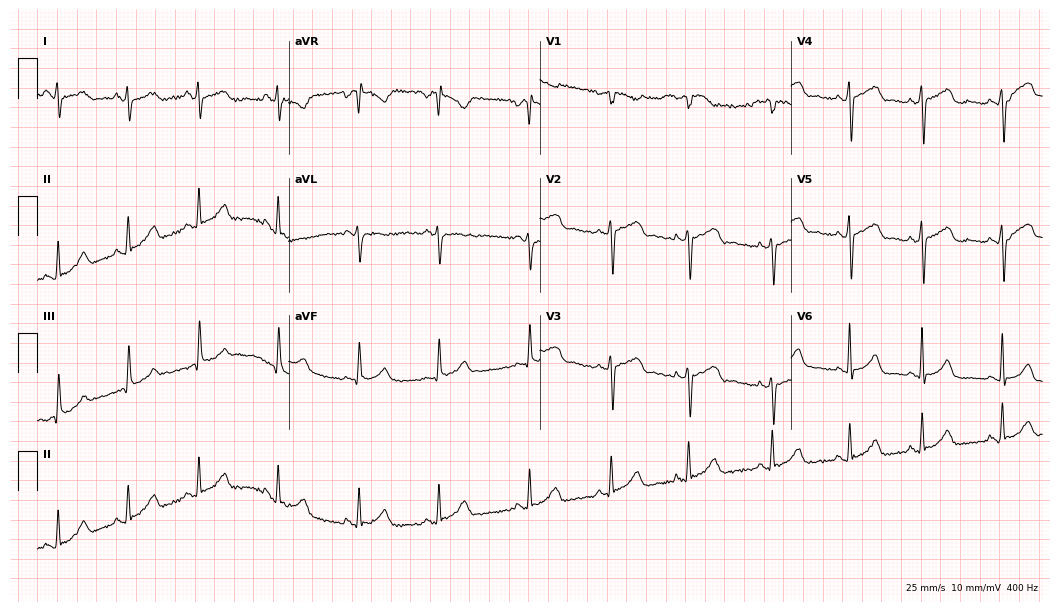
Resting 12-lead electrocardiogram. Patient: a 22-year-old female. None of these six findings is recorded: first-degree AV block, right bundle branch block, left bundle branch block, sinus bradycardia, atrial fibrillation, sinus tachycardia.